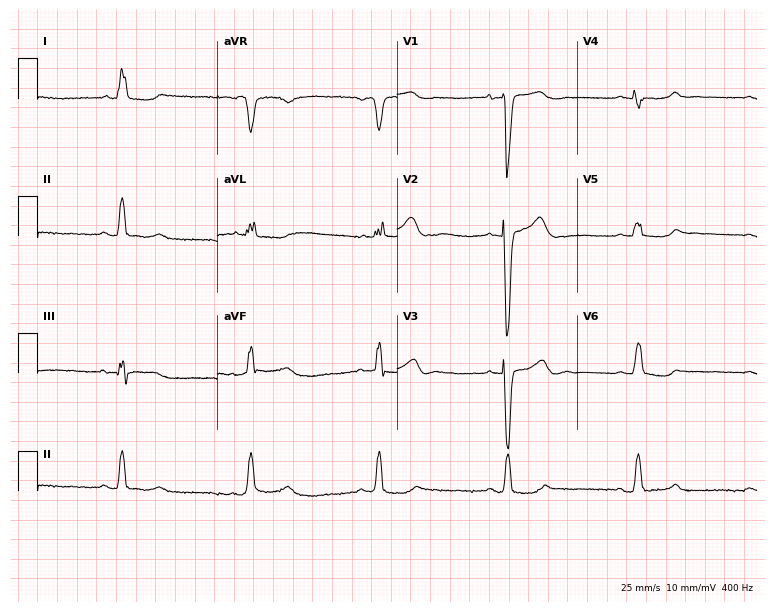
ECG (7.3-second recording at 400 Hz) — an 83-year-old female patient. Findings include left bundle branch block, sinus bradycardia (a sinus rate of 50 beats per minute or less).